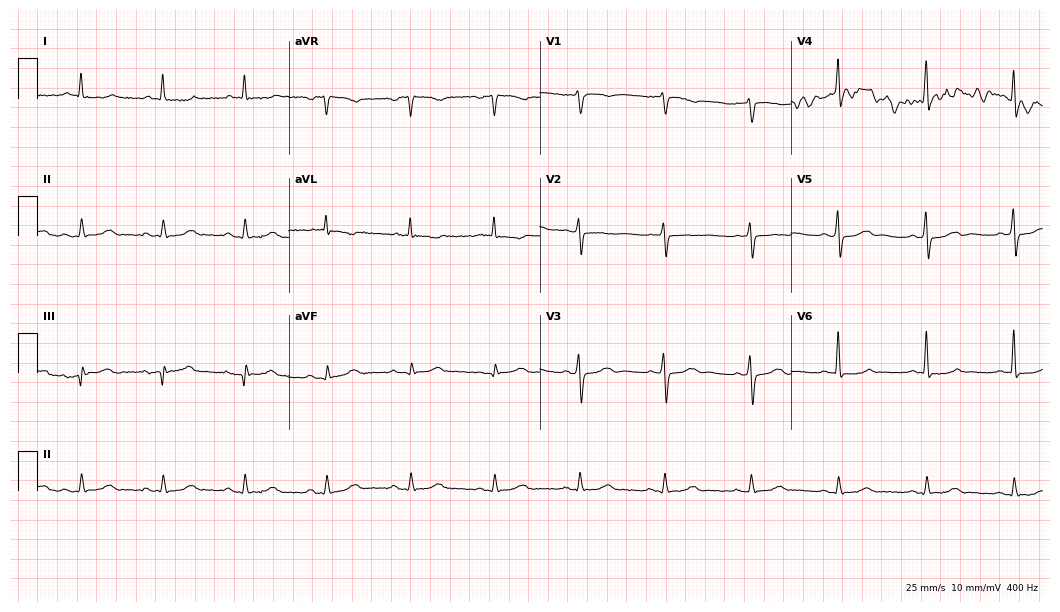
Resting 12-lead electrocardiogram (10.2-second recording at 400 Hz). Patient: a 64-year-old man. None of these six findings is recorded: first-degree AV block, right bundle branch block, left bundle branch block, sinus bradycardia, atrial fibrillation, sinus tachycardia. Other findings, if any, are not listed.